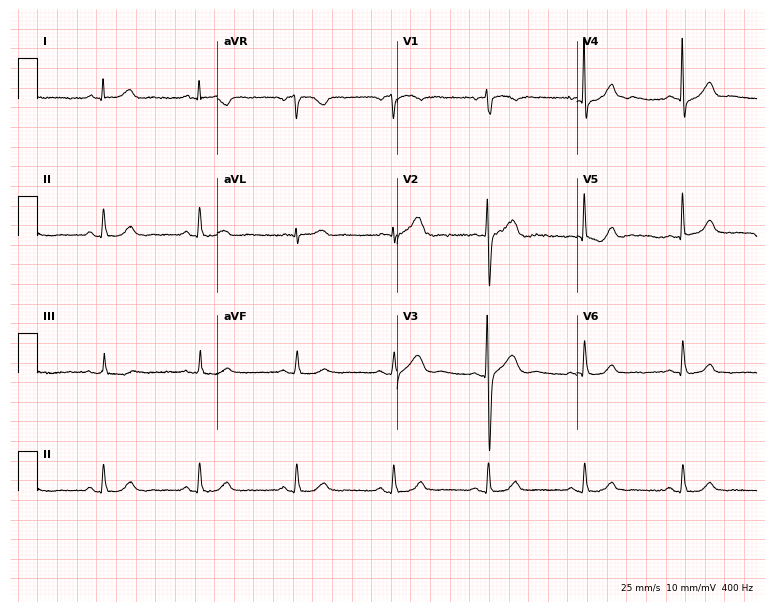
12-lead ECG from a 58-year-old female (7.3-second recording at 400 Hz). Recorded interpretation: within normal limits.